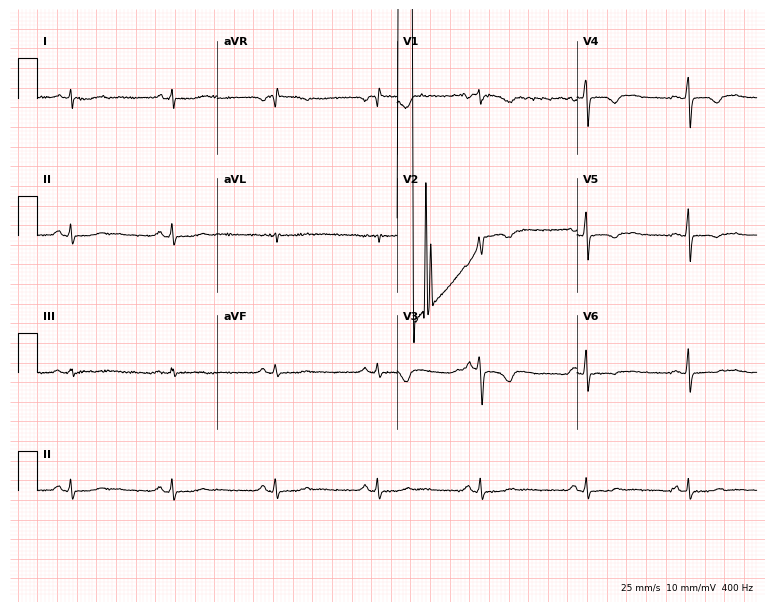
12-lead ECG from a female patient, 21 years old (7.3-second recording at 400 Hz). No first-degree AV block, right bundle branch block (RBBB), left bundle branch block (LBBB), sinus bradycardia, atrial fibrillation (AF) or sinus tachycardia recorded for this tracing. Only these six findings were labelled.